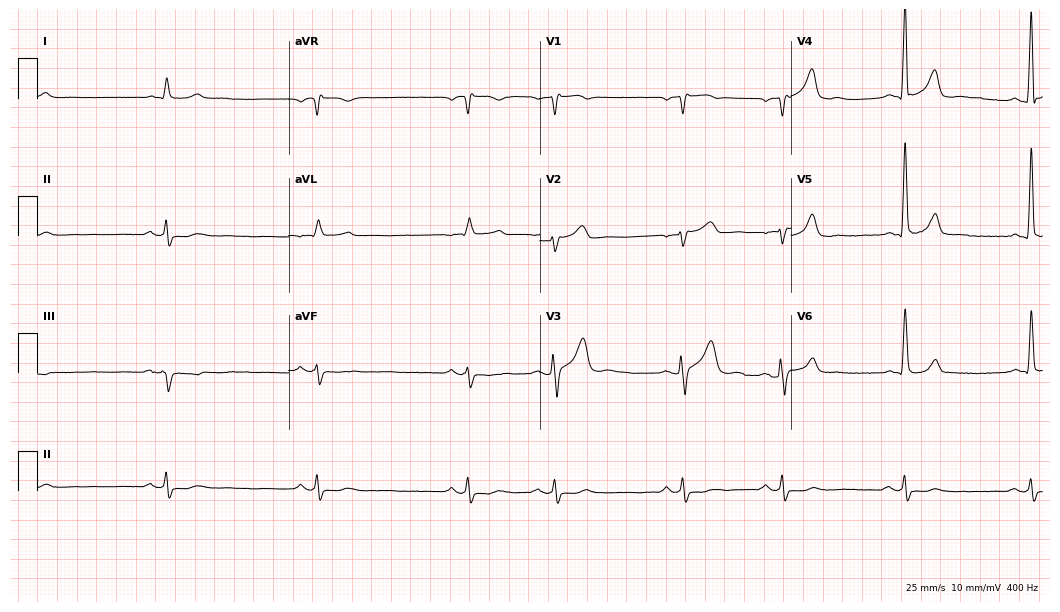
12-lead ECG (10.2-second recording at 400 Hz) from a 74-year-old male. Screened for six findings — first-degree AV block, right bundle branch block, left bundle branch block, sinus bradycardia, atrial fibrillation, sinus tachycardia — none is recorded.